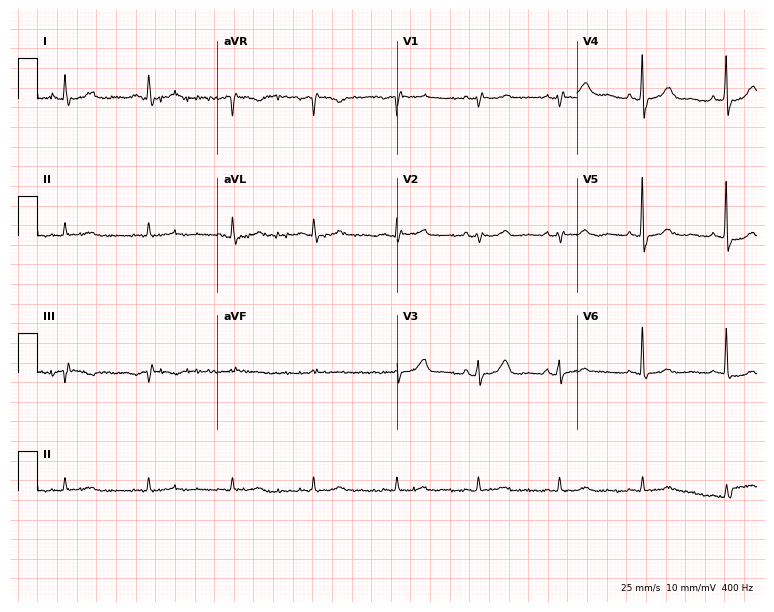
12-lead ECG from a female, 72 years old. Recorded interpretation: within normal limits.